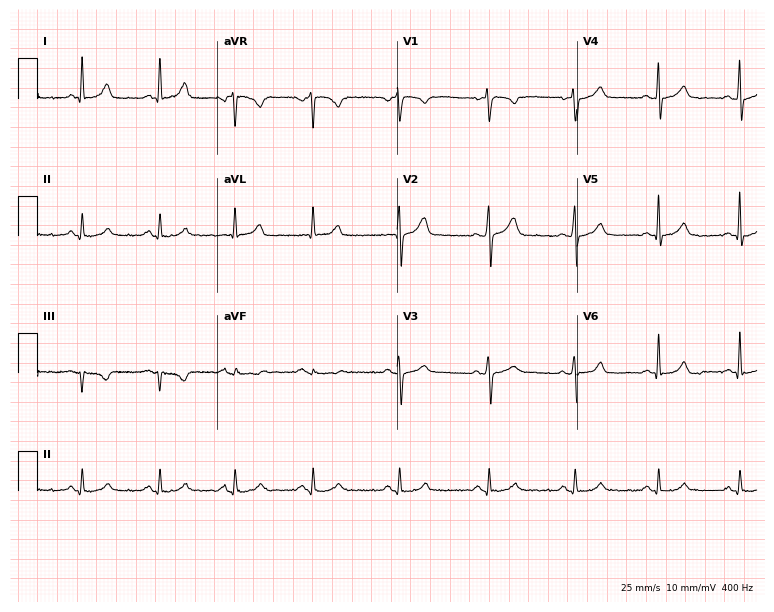
Electrocardiogram (7.3-second recording at 400 Hz), a 46-year-old female. Of the six screened findings (first-degree AV block, right bundle branch block (RBBB), left bundle branch block (LBBB), sinus bradycardia, atrial fibrillation (AF), sinus tachycardia), none is recorded.